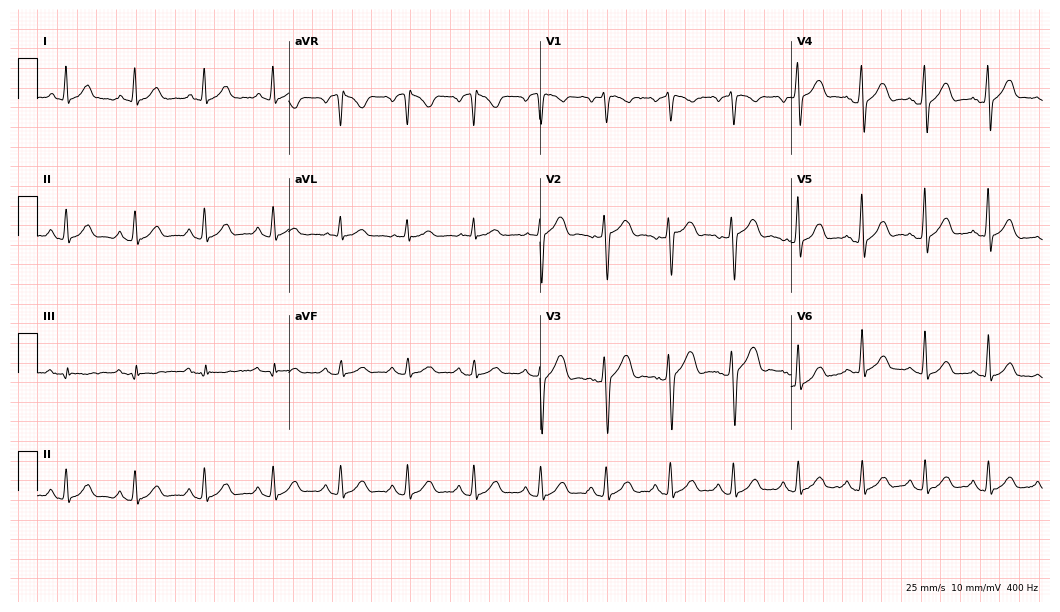
Standard 12-lead ECG recorded from a 42-year-old male (10.2-second recording at 400 Hz). Read as a normal ECG.